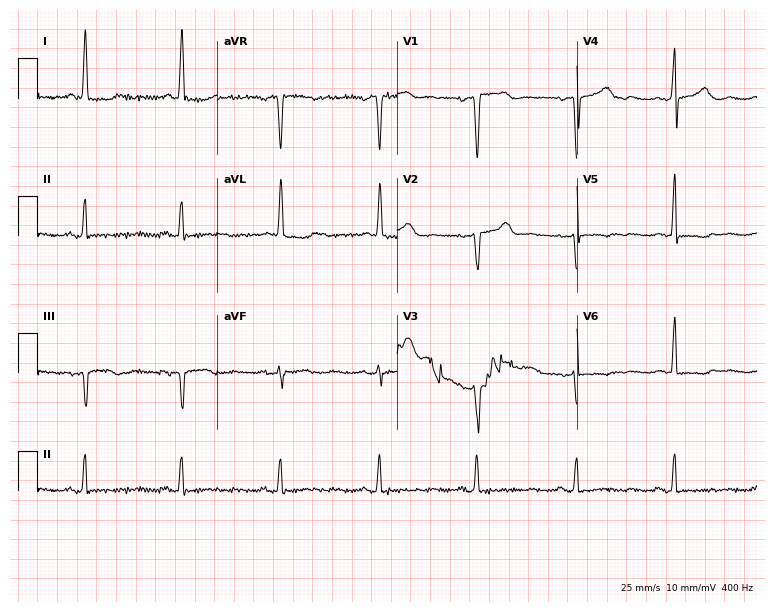
Resting 12-lead electrocardiogram (7.3-second recording at 400 Hz). Patient: a 59-year-old female. None of these six findings is recorded: first-degree AV block, right bundle branch block, left bundle branch block, sinus bradycardia, atrial fibrillation, sinus tachycardia.